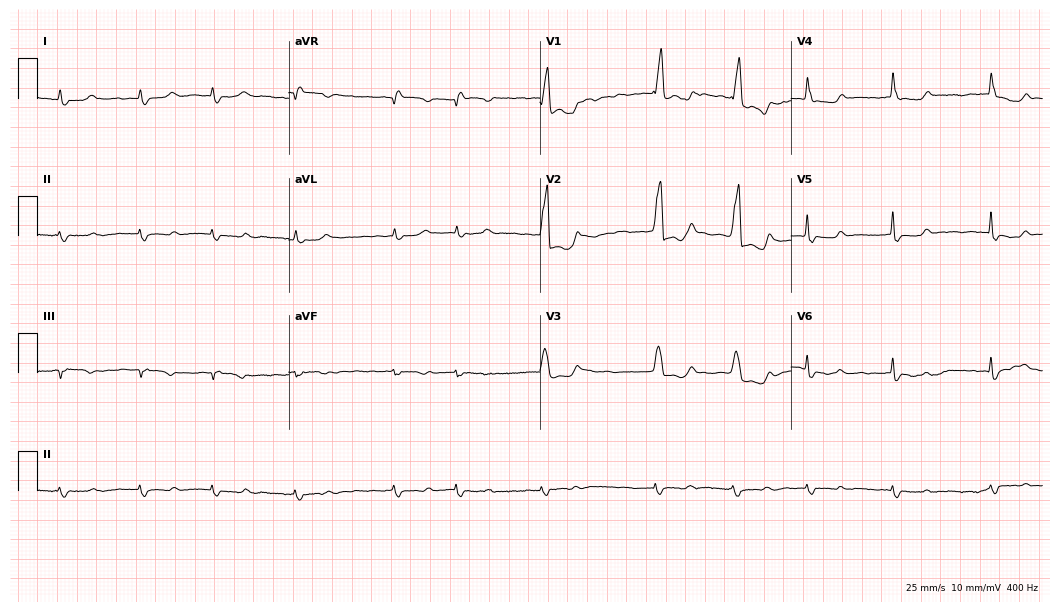
Standard 12-lead ECG recorded from an 84-year-old female. The tracing shows right bundle branch block, atrial fibrillation.